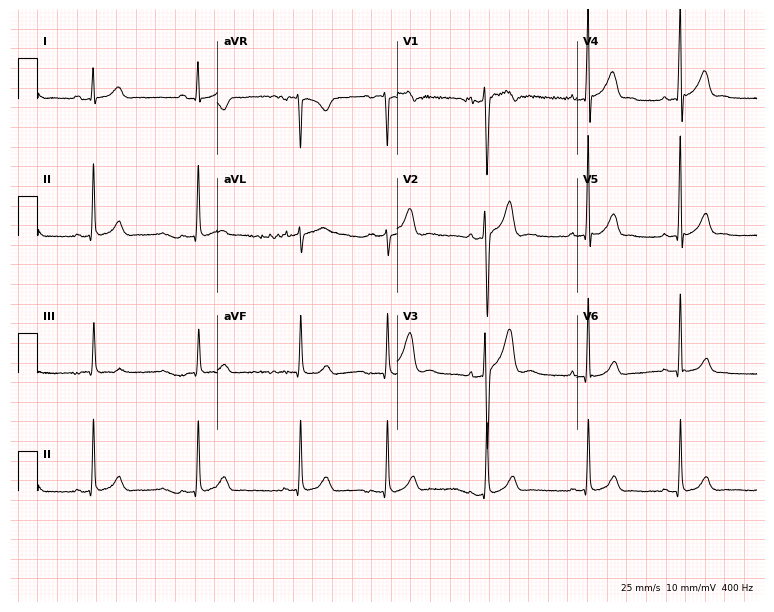
Standard 12-lead ECG recorded from a man, 17 years old (7.3-second recording at 400 Hz). Read as a normal ECG.